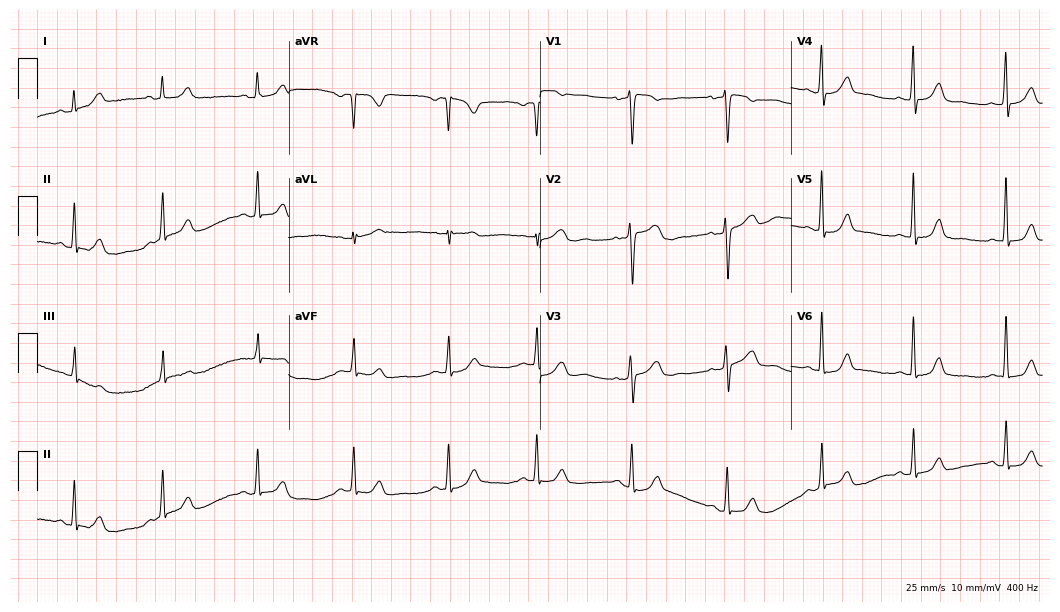
Resting 12-lead electrocardiogram. Patient: a 40-year-old female. Read as a normal ECG.